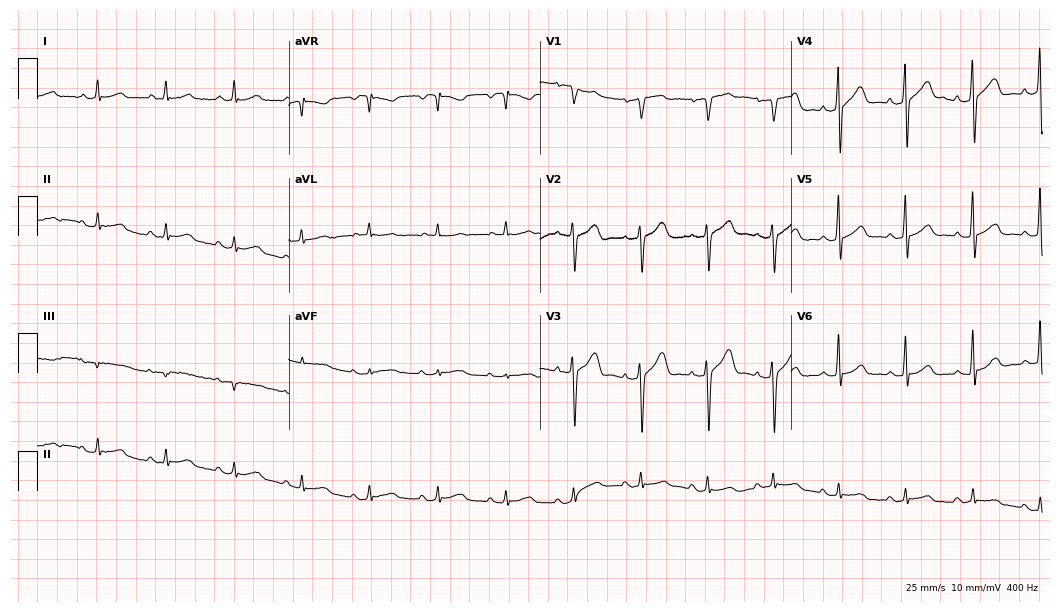
12-lead ECG from a 52-year-old male (10.2-second recording at 400 Hz). Recorded interpretation: within normal limits.